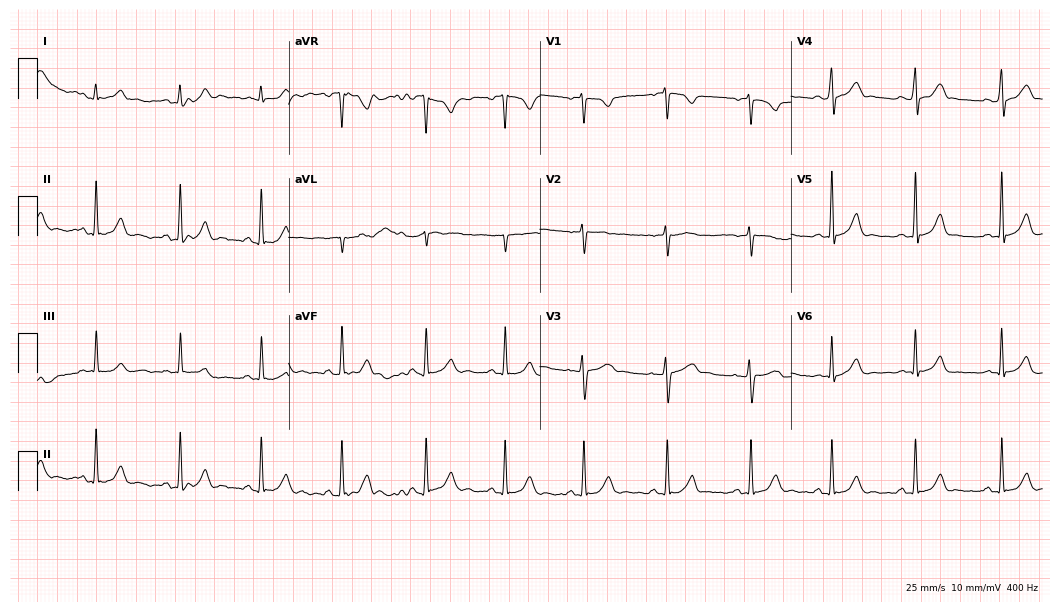
ECG (10.2-second recording at 400 Hz) — a female, 26 years old. Labelled as a normal ECG.